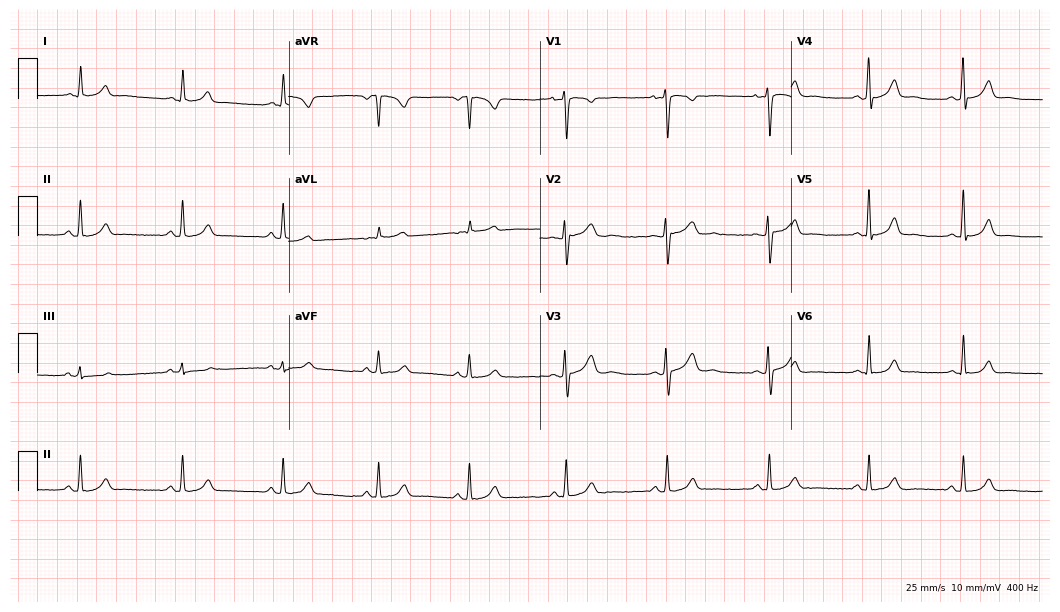
Electrocardiogram (10.2-second recording at 400 Hz), a 43-year-old female. Overall reading on record: normal ECG.